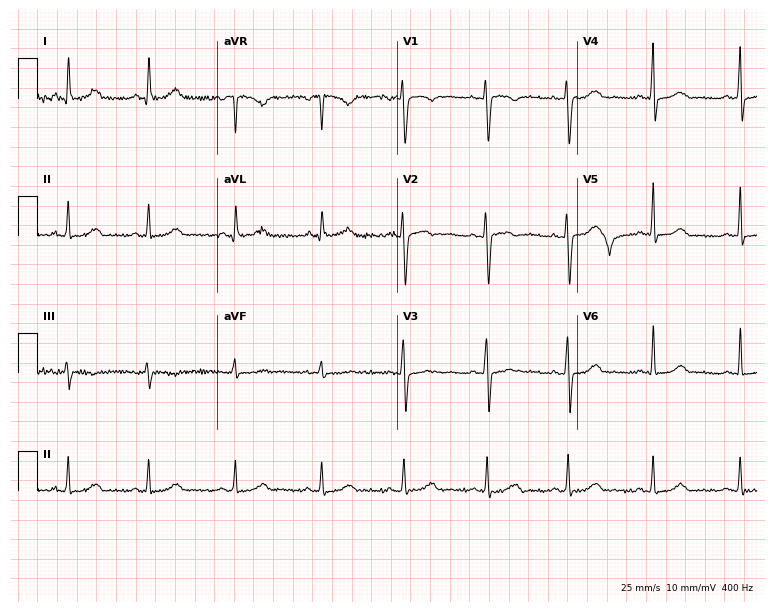
12-lead ECG from a female, 39 years old. No first-degree AV block, right bundle branch block (RBBB), left bundle branch block (LBBB), sinus bradycardia, atrial fibrillation (AF) or sinus tachycardia recorded for this tracing. Findings outside these six are not listed.